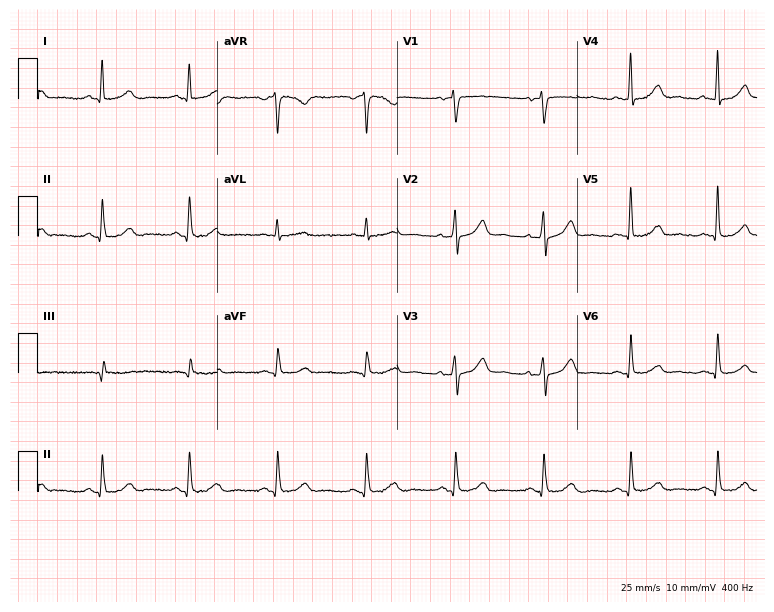
Standard 12-lead ECG recorded from a woman, 63 years old. Read as a normal ECG.